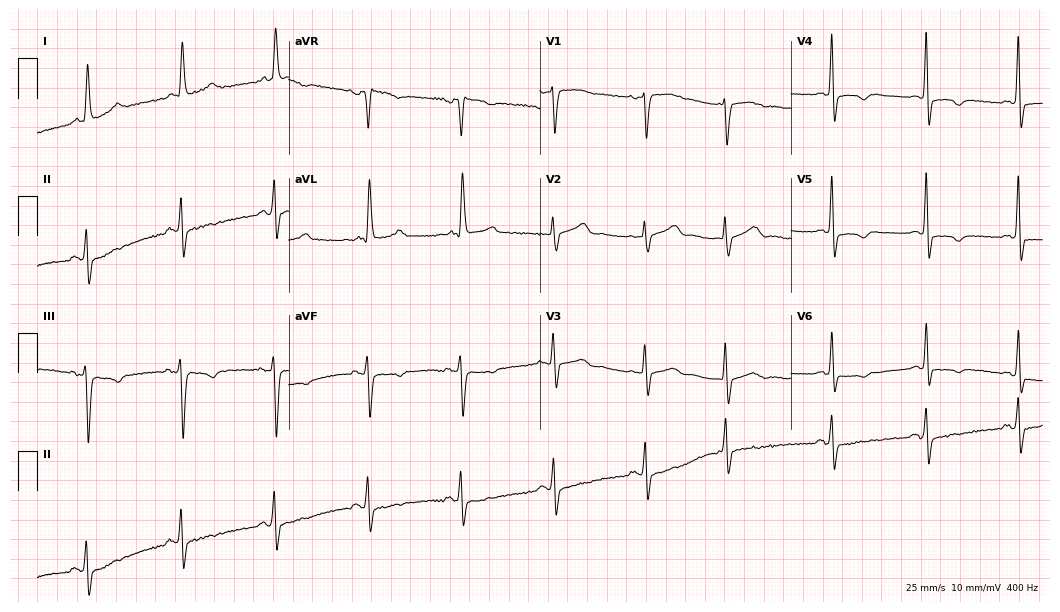
ECG — a female, 83 years old. Screened for six findings — first-degree AV block, right bundle branch block, left bundle branch block, sinus bradycardia, atrial fibrillation, sinus tachycardia — none is recorded.